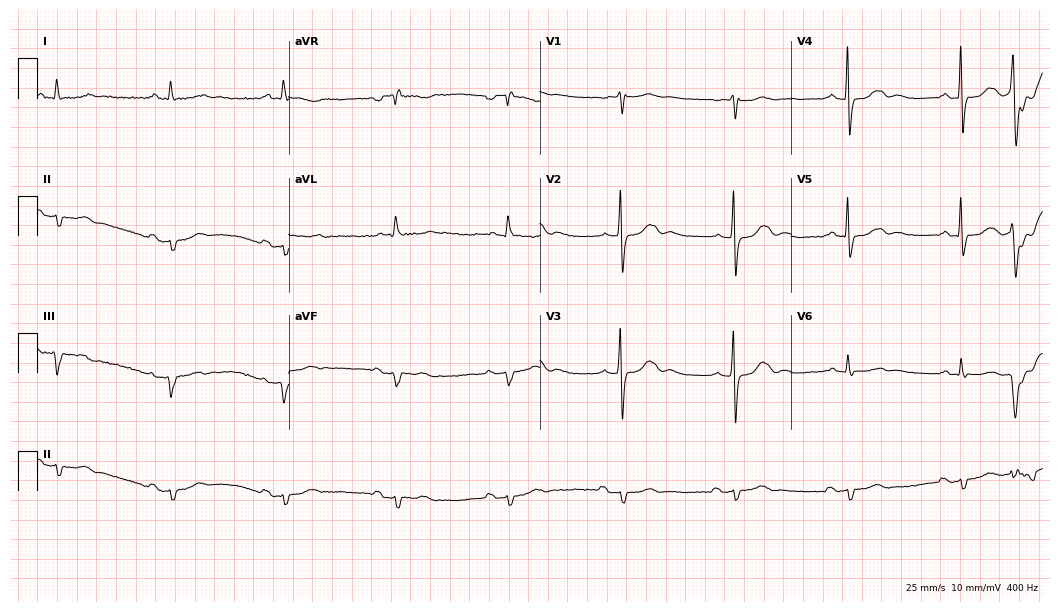
Resting 12-lead electrocardiogram. Patient: a 74-year-old male. None of these six findings is recorded: first-degree AV block, right bundle branch block, left bundle branch block, sinus bradycardia, atrial fibrillation, sinus tachycardia.